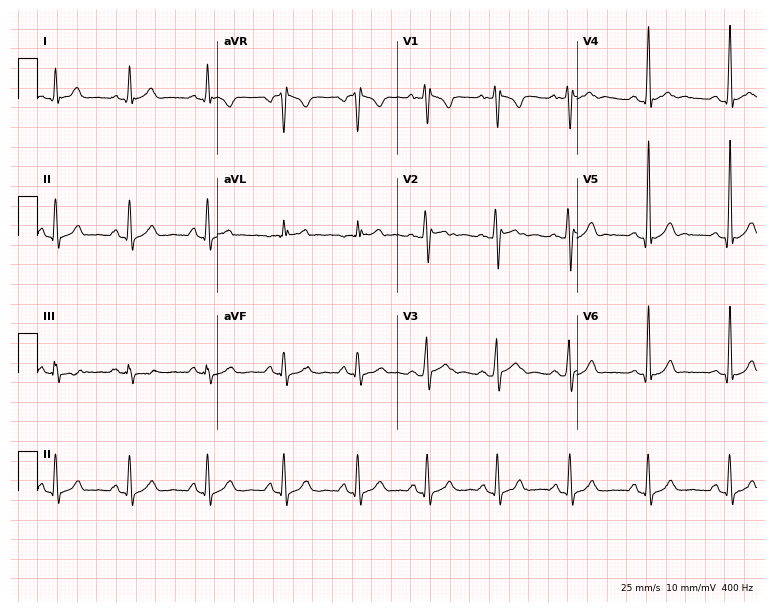
Electrocardiogram (7.3-second recording at 400 Hz), a 22-year-old man. Overall reading on record: normal ECG.